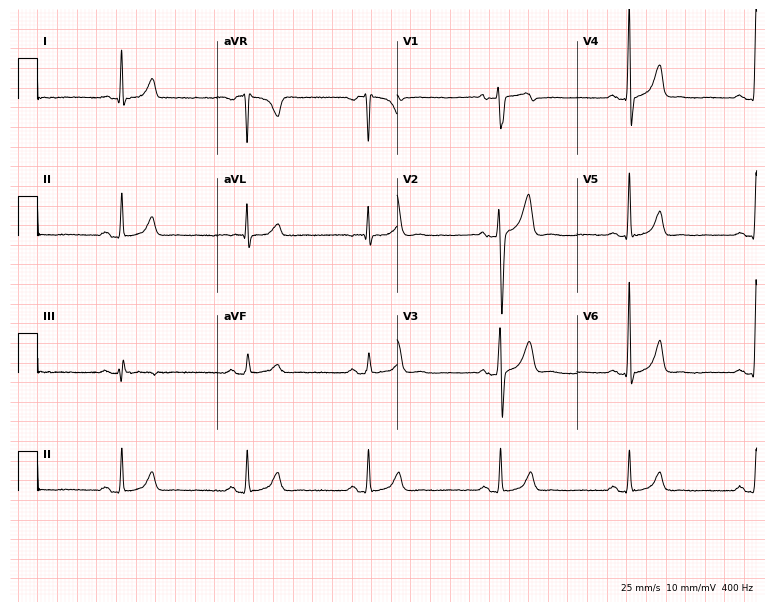
ECG (7.3-second recording at 400 Hz) — a 33-year-old man. Findings include sinus bradycardia (a sinus rate of 50 beats per minute or less).